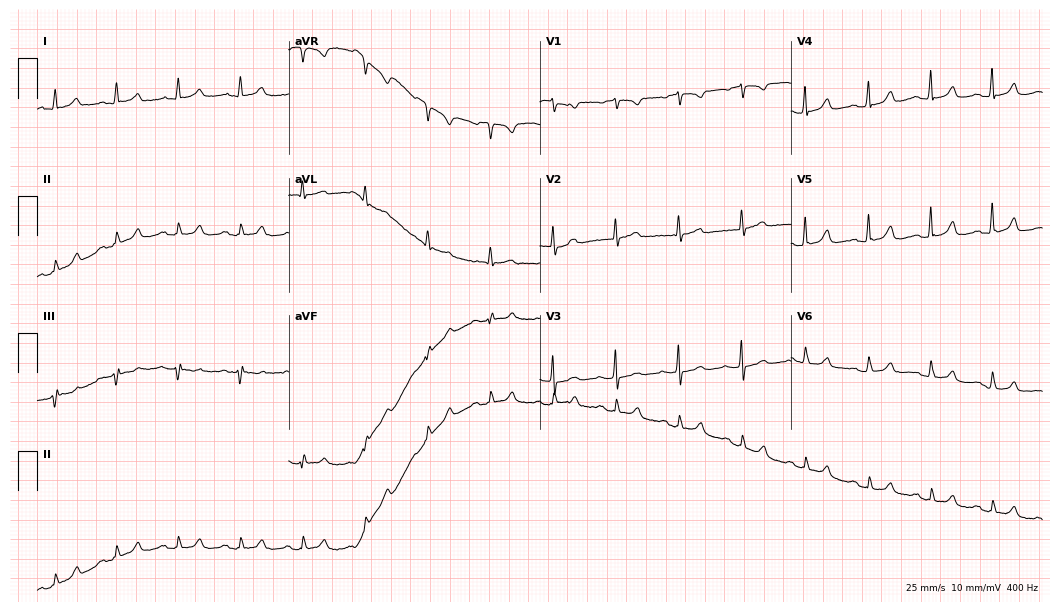
12-lead ECG from a female, 78 years old (10.2-second recording at 400 Hz). No first-degree AV block, right bundle branch block, left bundle branch block, sinus bradycardia, atrial fibrillation or sinus tachycardia recorded for this tracing.